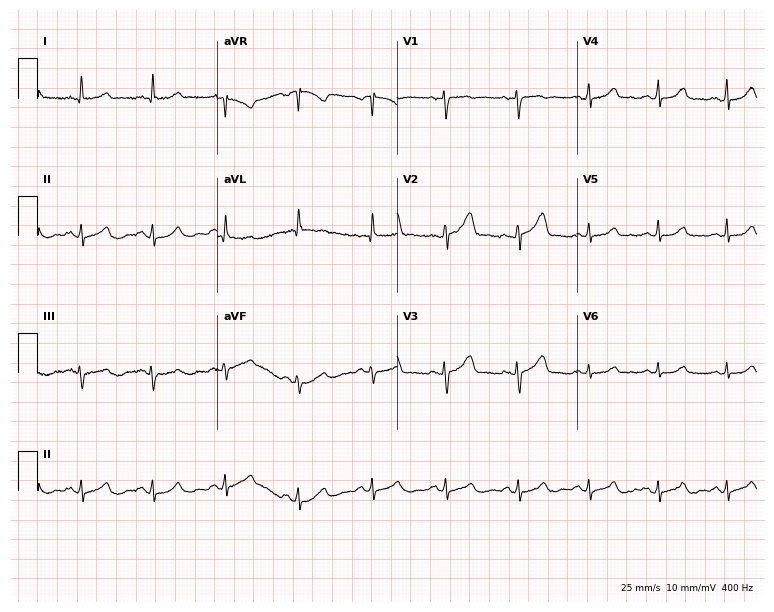
12-lead ECG from a 54-year-old woman. Recorded interpretation: within normal limits.